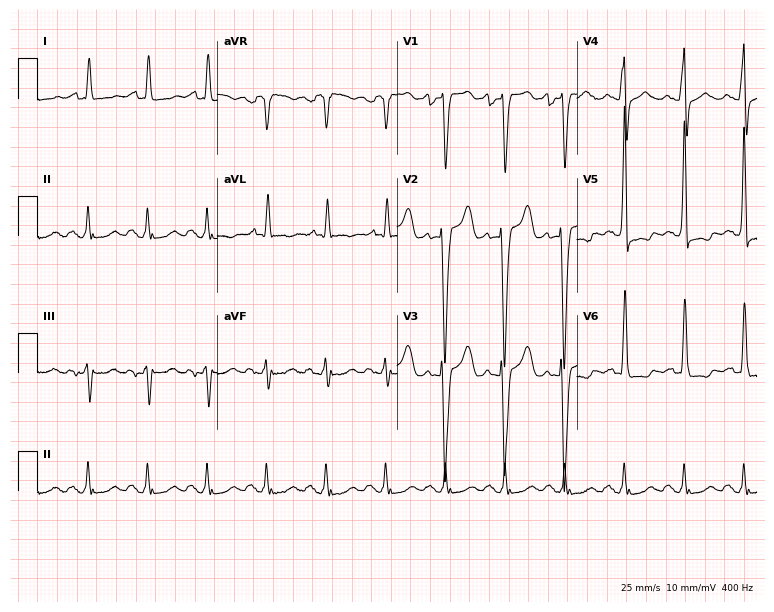
Electrocardiogram, a 50-year-old male patient. Of the six screened findings (first-degree AV block, right bundle branch block (RBBB), left bundle branch block (LBBB), sinus bradycardia, atrial fibrillation (AF), sinus tachycardia), none is recorded. Findings outside these six are not listed.